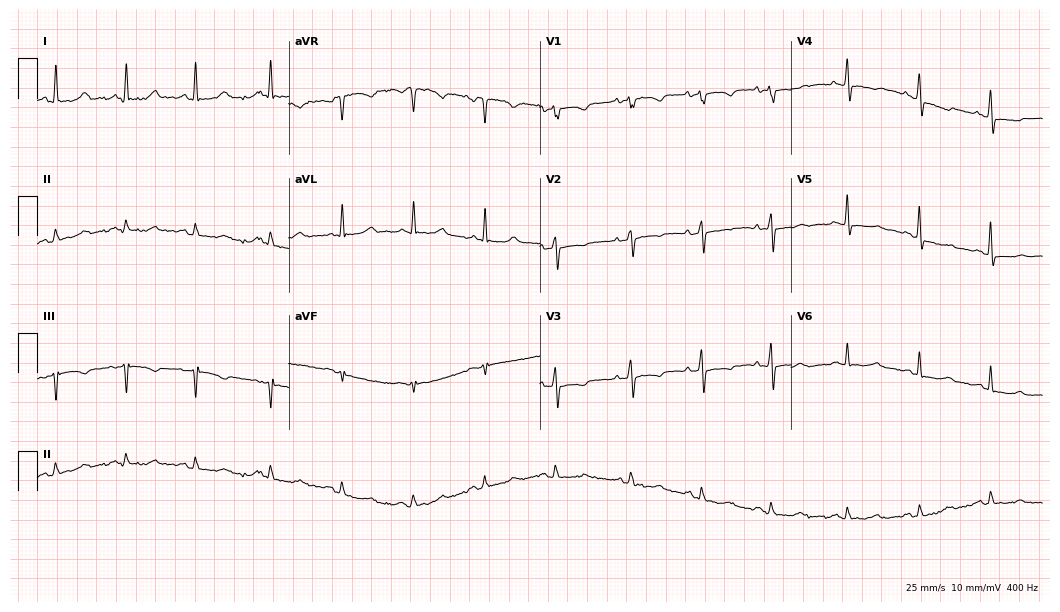
Electrocardiogram (10.2-second recording at 400 Hz), a female patient, 80 years old. Overall reading on record: normal ECG.